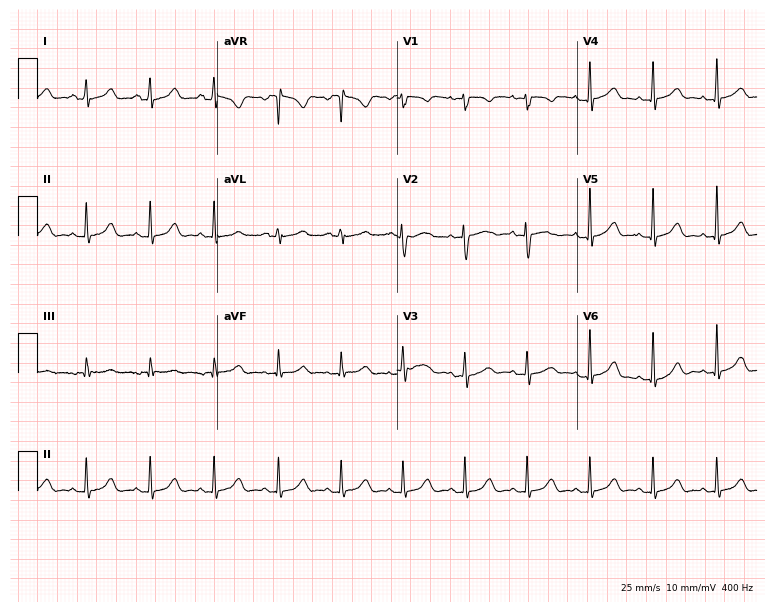
12-lead ECG (7.3-second recording at 400 Hz) from a 27-year-old female patient. Labelled as a normal ECG.